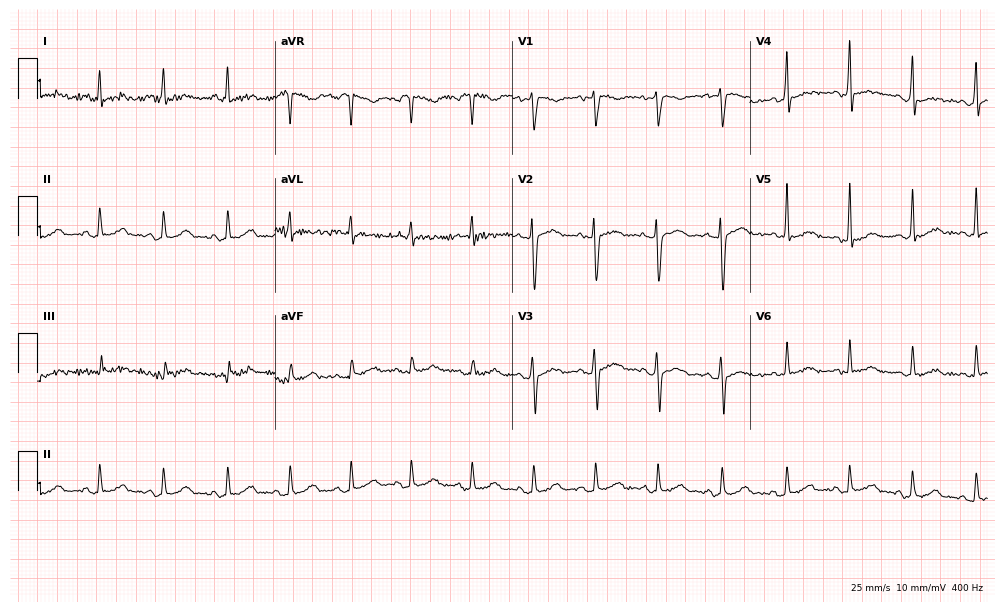
Standard 12-lead ECG recorded from a 26-year-old man (9.7-second recording at 400 Hz). Read as a normal ECG.